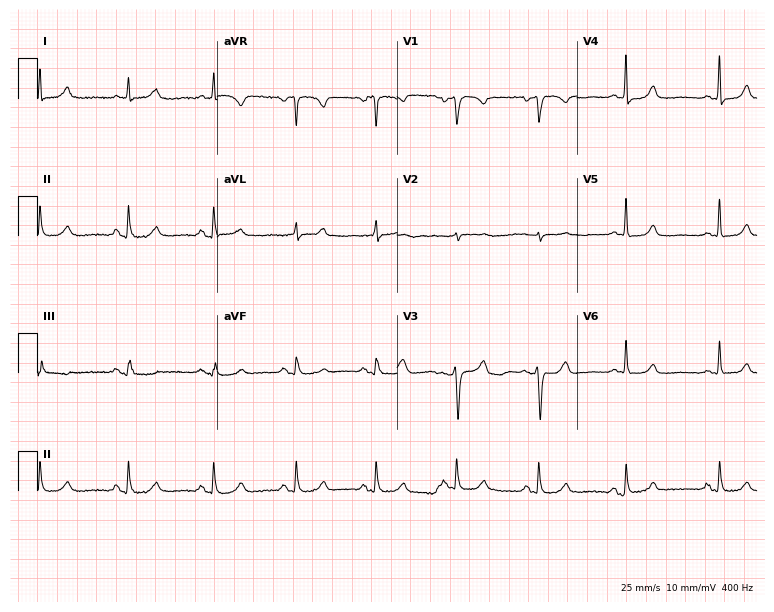
ECG — a female patient, 53 years old. Labelled as a normal ECG.